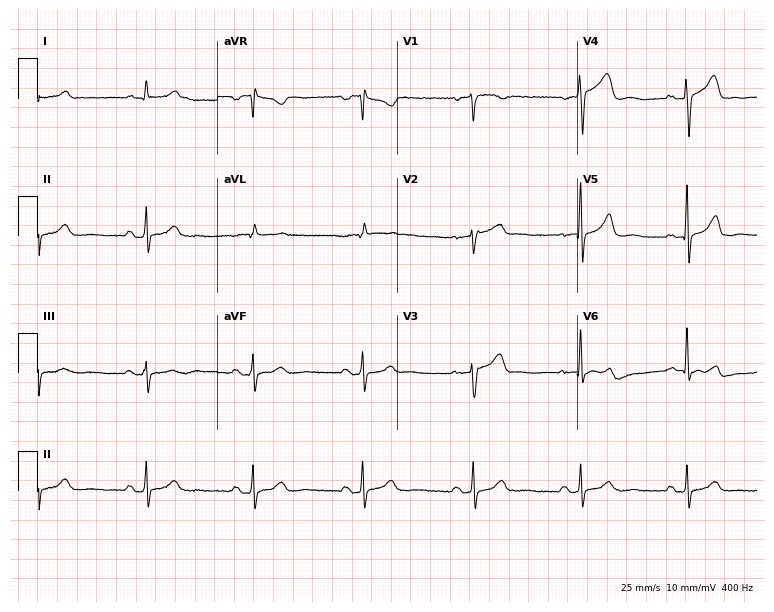
Electrocardiogram, a man, 57 years old. Of the six screened findings (first-degree AV block, right bundle branch block, left bundle branch block, sinus bradycardia, atrial fibrillation, sinus tachycardia), none is recorded.